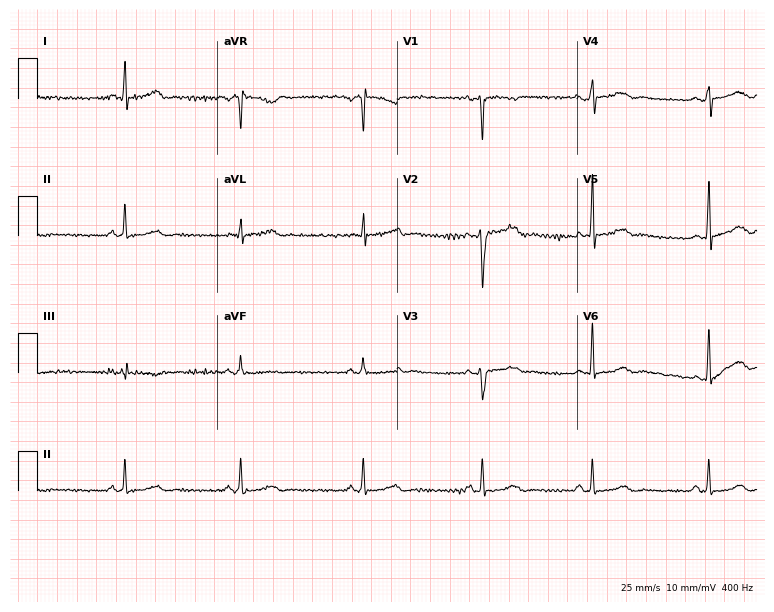
Standard 12-lead ECG recorded from a 33-year-old female. None of these six findings is recorded: first-degree AV block, right bundle branch block, left bundle branch block, sinus bradycardia, atrial fibrillation, sinus tachycardia.